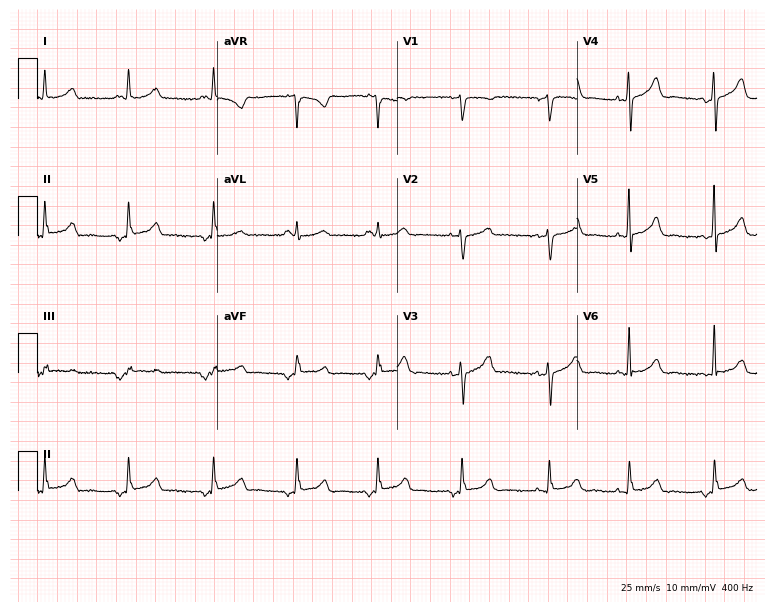
Resting 12-lead electrocardiogram (7.3-second recording at 400 Hz). Patient: a woman, 75 years old. None of these six findings is recorded: first-degree AV block, right bundle branch block (RBBB), left bundle branch block (LBBB), sinus bradycardia, atrial fibrillation (AF), sinus tachycardia. Only these six findings were labelled.